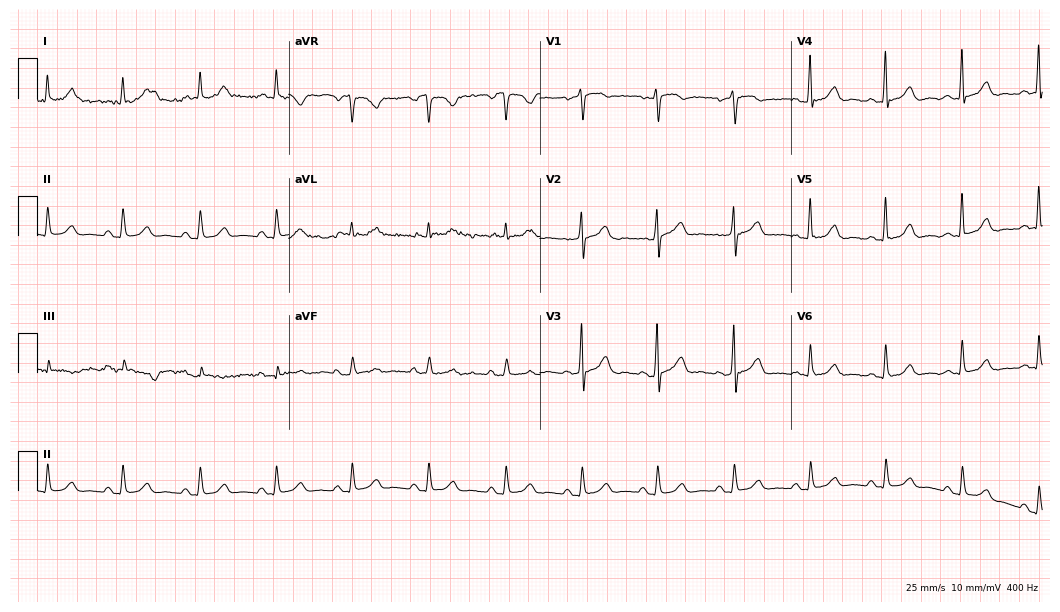
Standard 12-lead ECG recorded from a 57-year-old female patient. Read as a normal ECG.